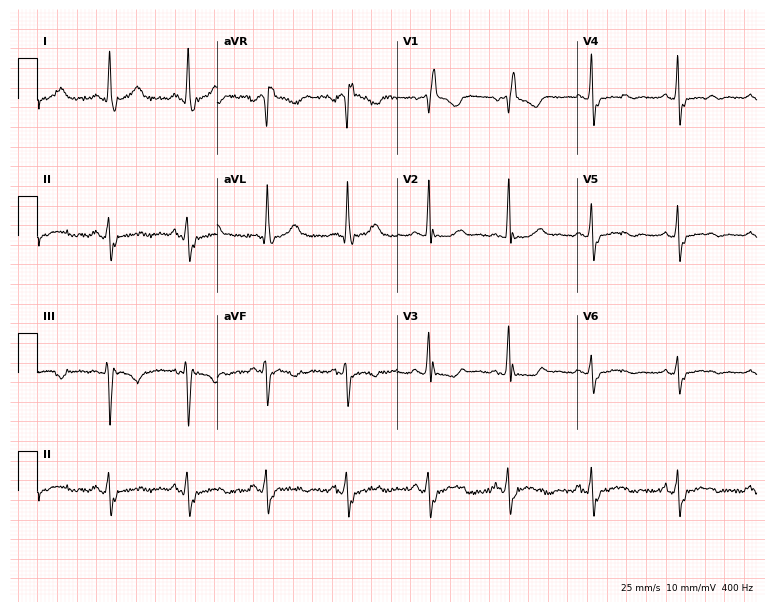
ECG (7.3-second recording at 400 Hz) — a 66-year-old female. Screened for six findings — first-degree AV block, right bundle branch block, left bundle branch block, sinus bradycardia, atrial fibrillation, sinus tachycardia — none is recorded.